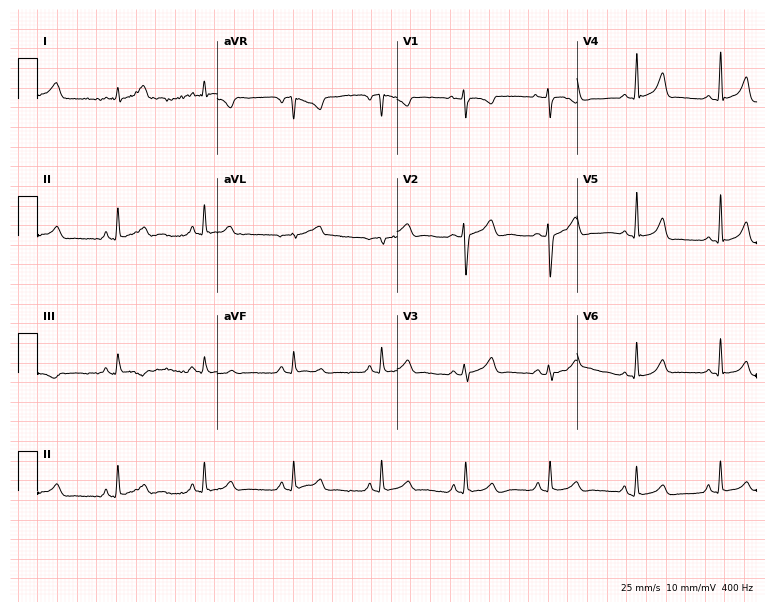
Standard 12-lead ECG recorded from a 24-year-old female patient (7.3-second recording at 400 Hz). None of these six findings is recorded: first-degree AV block, right bundle branch block, left bundle branch block, sinus bradycardia, atrial fibrillation, sinus tachycardia.